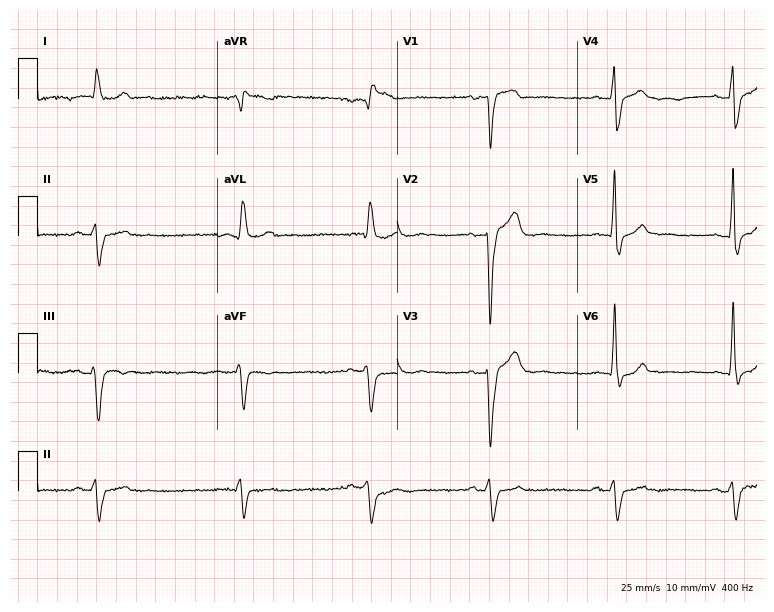
12-lead ECG from a male patient, 66 years old (7.3-second recording at 400 Hz). No first-degree AV block, right bundle branch block (RBBB), left bundle branch block (LBBB), sinus bradycardia, atrial fibrillation (AF) or sinus tachycardia recorded for this tracing.